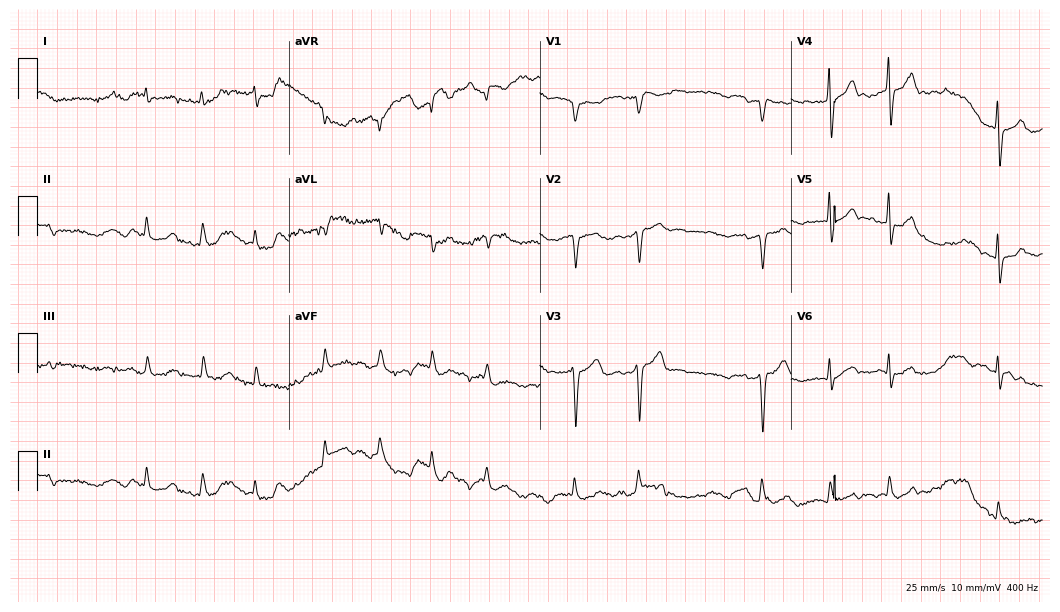
Resting 12-lead electrocardiogram. Patient: a male, 83 years old. The tracing shows atrial fibrillation.